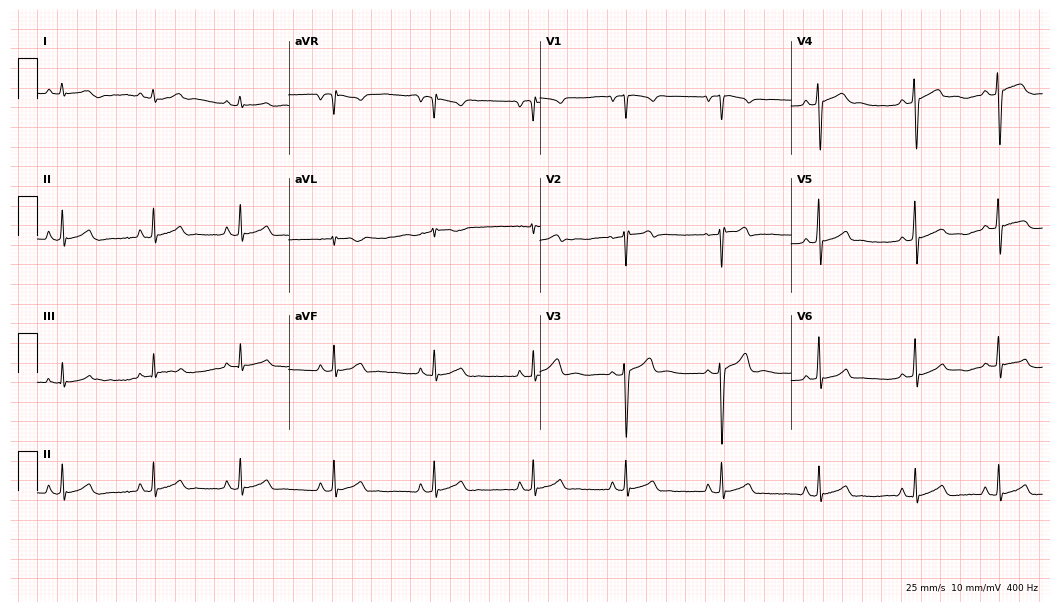
ECG — a male, 17 years old. Labelled as a normal ECG.